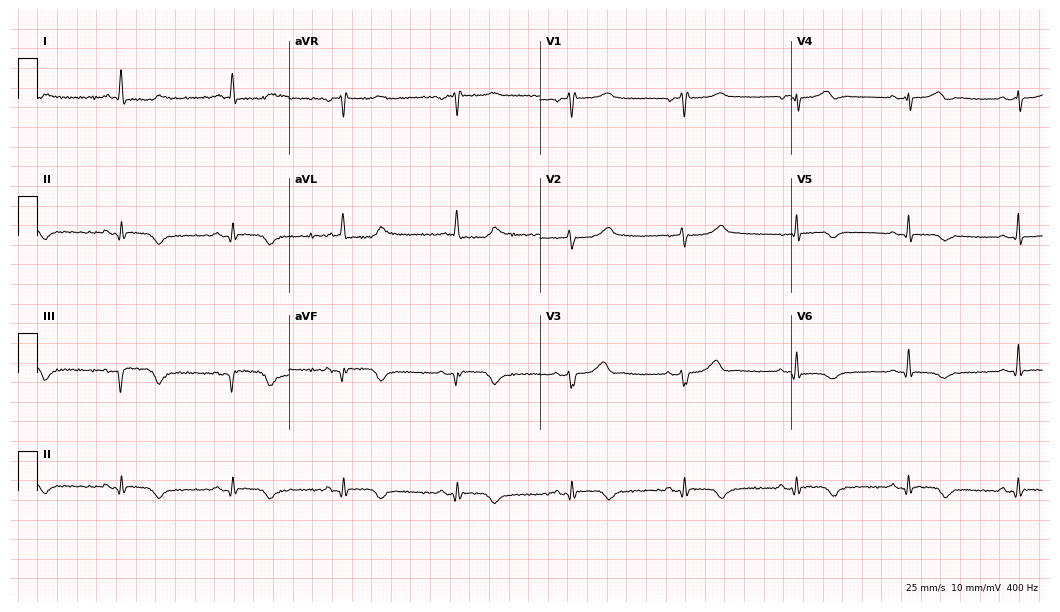
ECG (10.2-second recording at 400 Hz) — a 61-year-old female patient. Screened for six findings — first-degree AV block, right bundle branch block, left bundle branch block, sinus bradycardia, atrial fibrillation, sinus tachycardia — none is recorded.